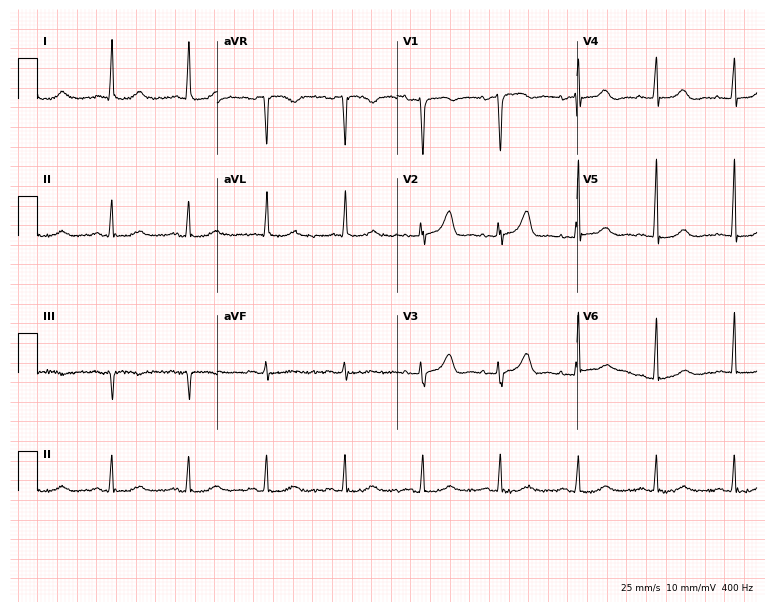
Standard 12-lead ECG recorded from a female patient, 84 years old. None of these six findings is recorded: first-degree AV block, right bundle branch block, left bundle branch block, sinus bradycardia, atrial fibrillation, sinus tachycardia.